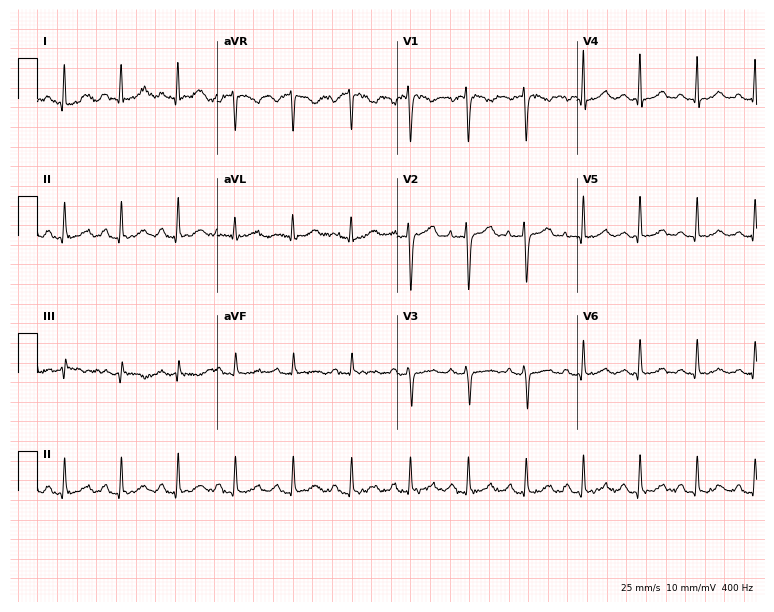
Standard 12-lead ECG recorded from a female, 33 years old. The tracing shows sinus tachycardia (a sinus rate of 100 beats per minute or more).